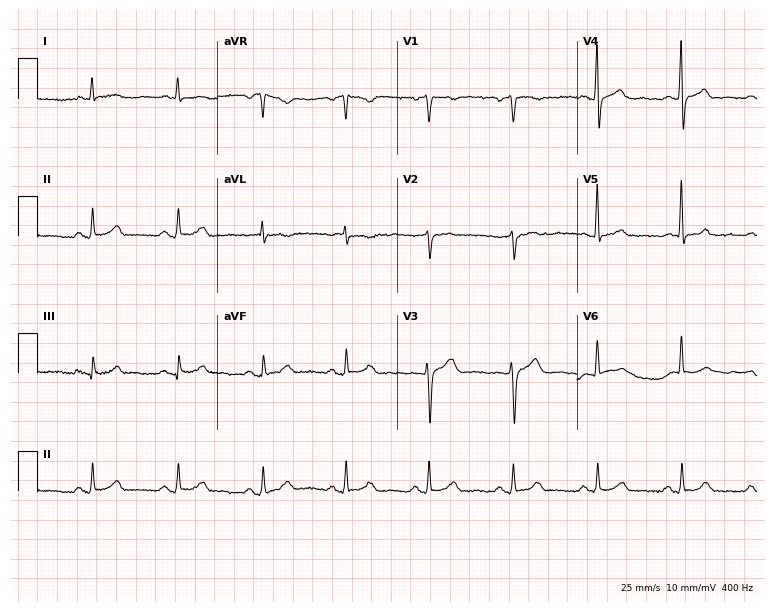
Electrocardiogram, a man, 55 years old. Overall reading on record: normal ECG.